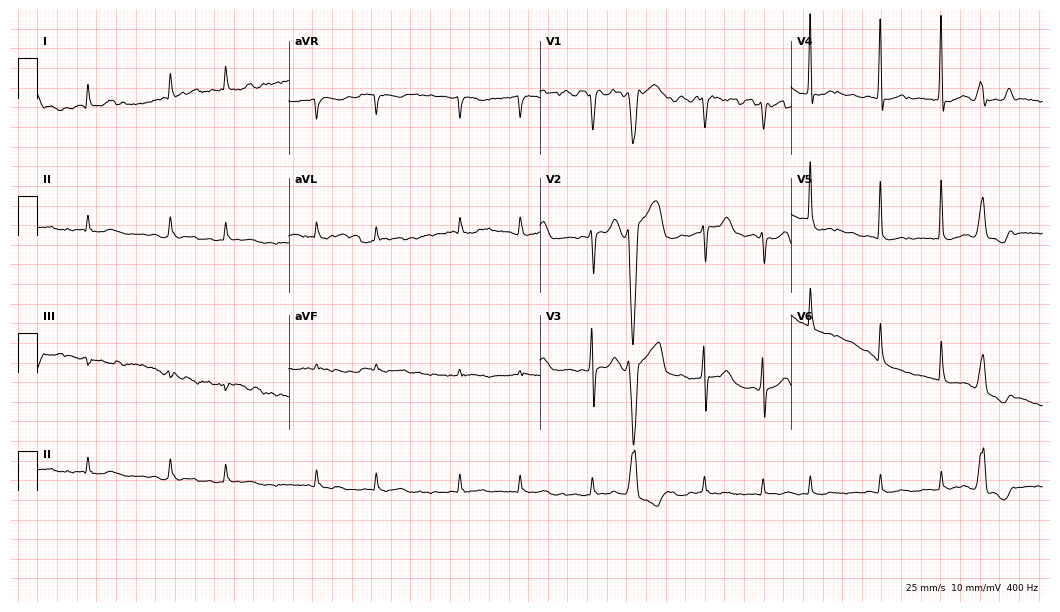
Electrocardiogram, a 72-year-old male patient. Interpretation includes atrial fibrillation.